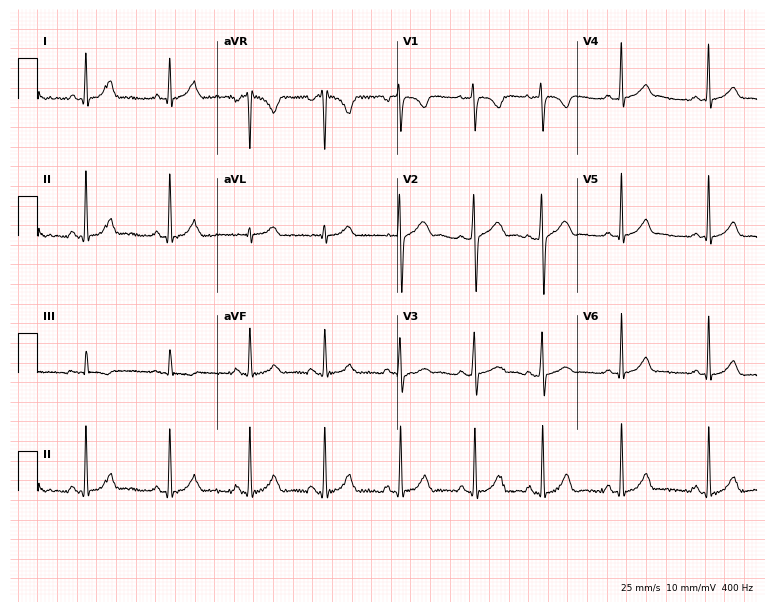
Resting 12-lead electrocardiogram. Patient: a 21-year-old female. Read as a normal ECG.